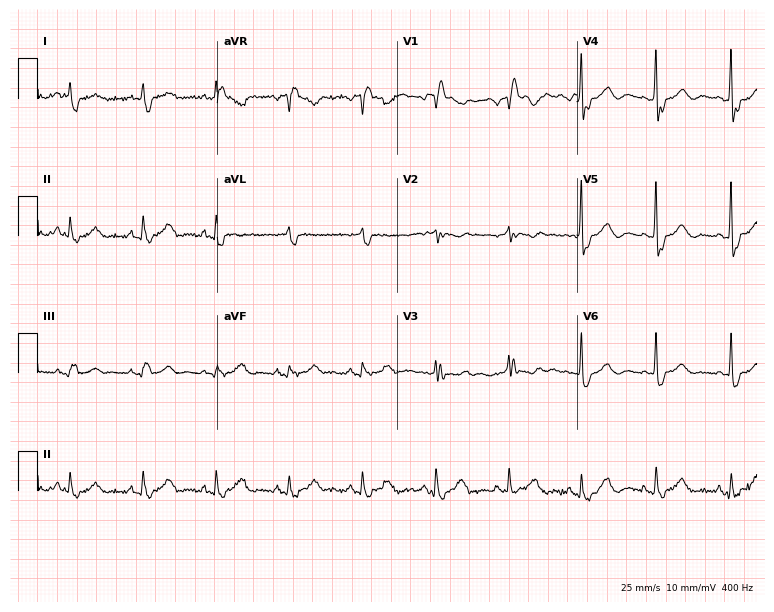
Resting 12-lead electrocardiogram. Patient: an 84-year-old woman. The tracing shows right bundle branch block (RBBB).